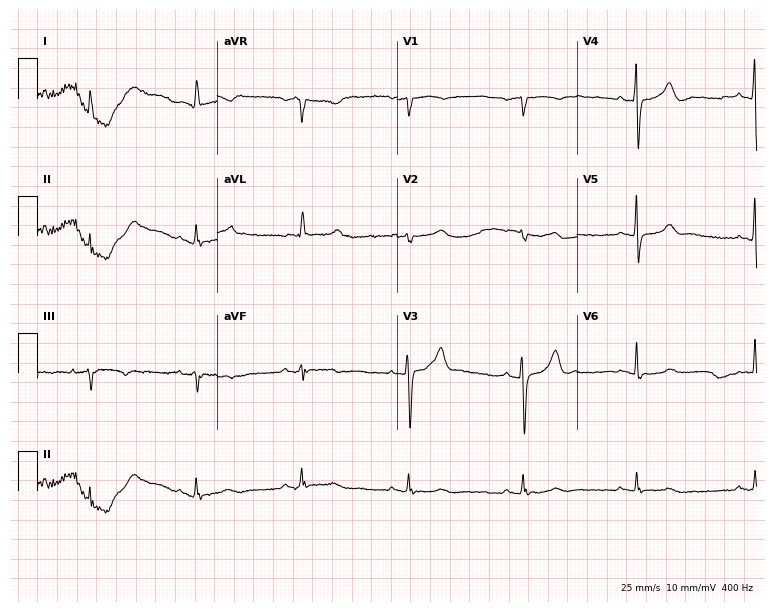
12-lead ECG from a man, 82 years old. Screened for six findings — first-degree AV block, right bundle branch block (RBBB), left bundle branch block (LBBB), sinus bradycardia, atrial fibrillation (AF), sinus tachycardia — none is recorded.